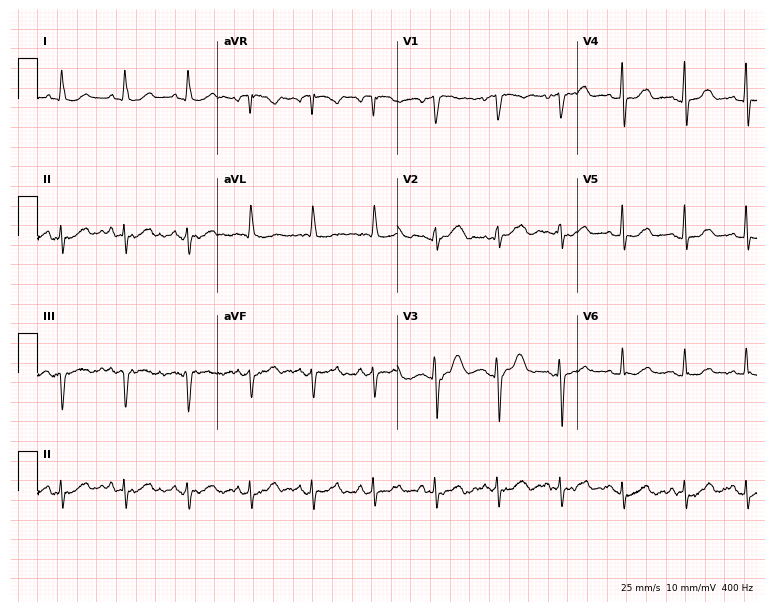
12-lead ECG from a female, 85 years old (7.3-second recording at 400 Hz). No first-degree AV block, right bundle branch block, left bundle branch block, sinus bradycardia, atrial fibrillation or sinus tachycardia recorded for this tracing. Only these six findings were labelled.